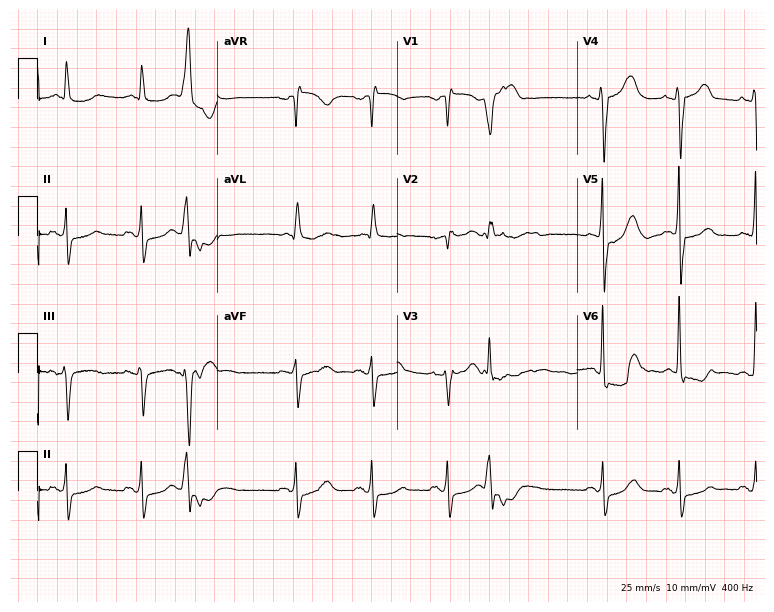
Standard 12-lead ECG recorded from a 68-year-old male (7.3-second recording at 400 Hz). None of these six findings is recorded: first-degree AV block, right bundle branch block (RBBB), left bundle branch block (LBBB), sinus bradycardia, atrial fibrillation (AF), sinus tachycardia.